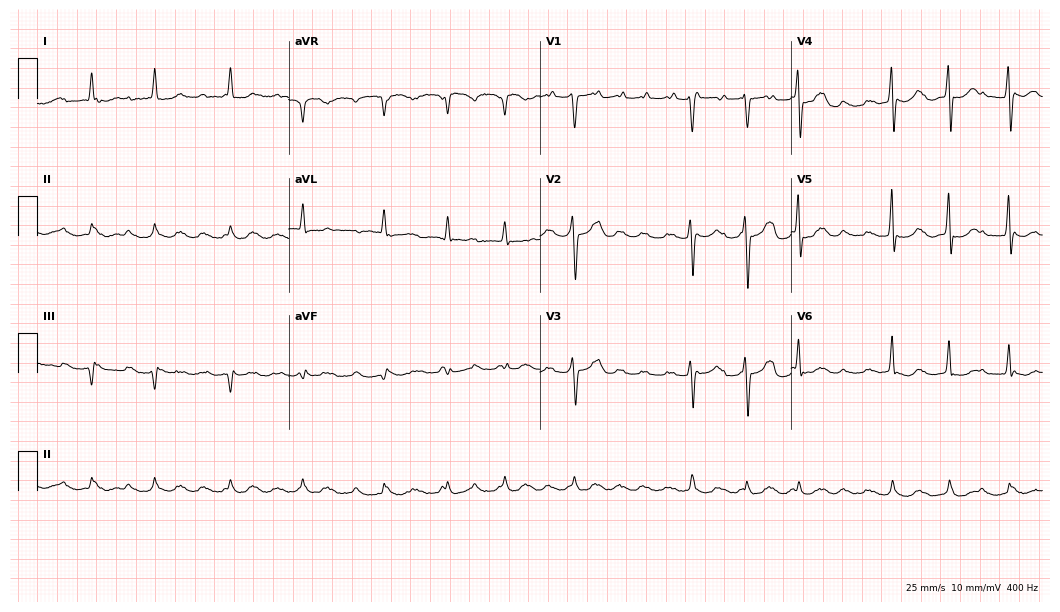
Electrocardiogram, an 82-year-old male patient. Interpretation includes atrial fibrillation (AF).